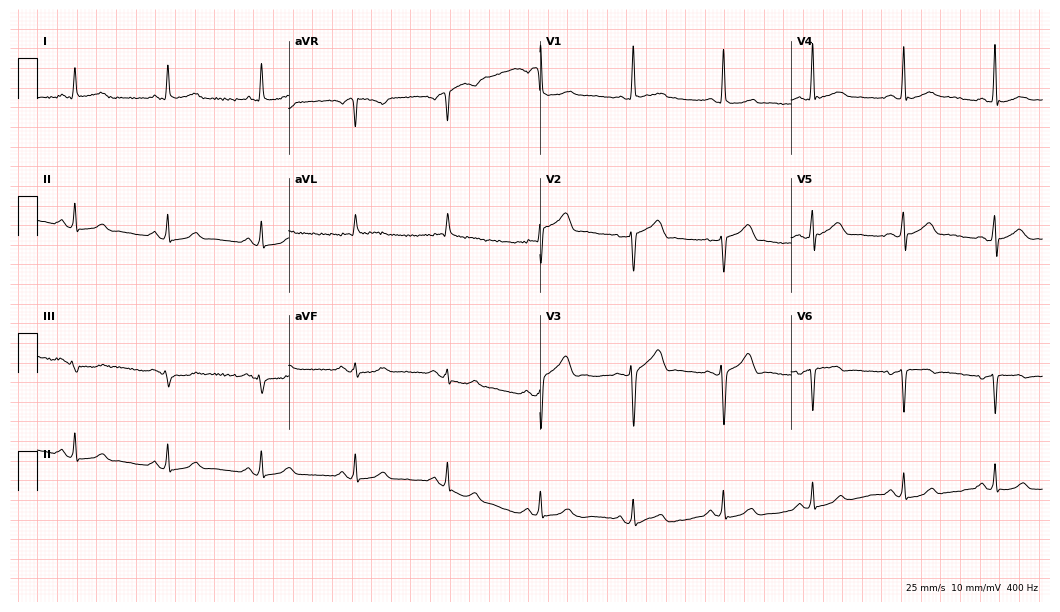
Standard 12-lead ECG recorded from a male patient, 51 years old (10.2-second recording at 400 Hz). None of these six findings is recorded: first-degree AV block, right bundle branch block (RBBB), left bundle branch block (LBBB), sinus bradycardia, atrial fibrillation (AF), sinus tachycardia.